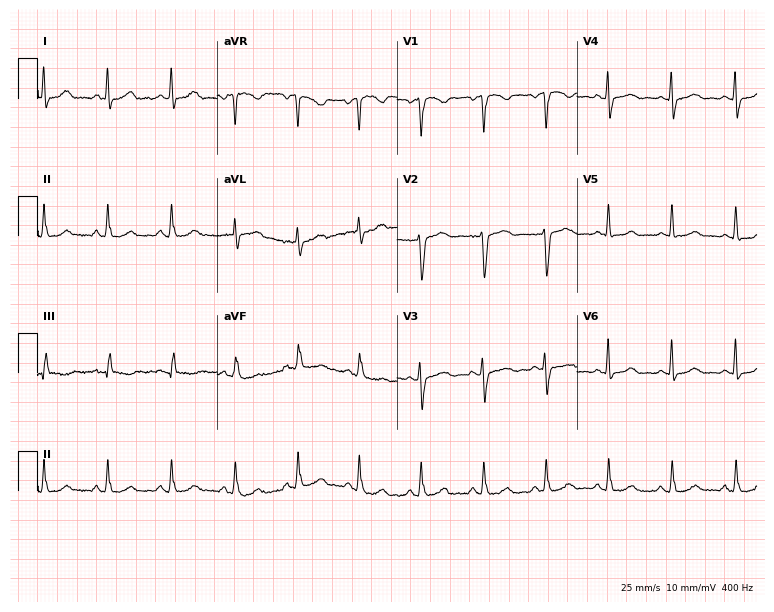
12-lead ECG from a female patient, 52 years old. Recorded interpretation: within normal limits.